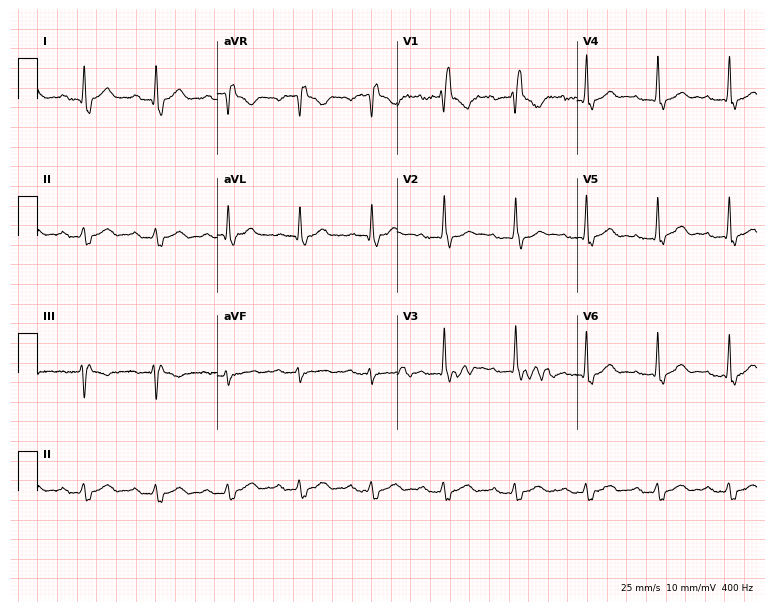
12-lead ECG from a 61-year-old male. Findings include first-degree AV block, right bundle branch block.